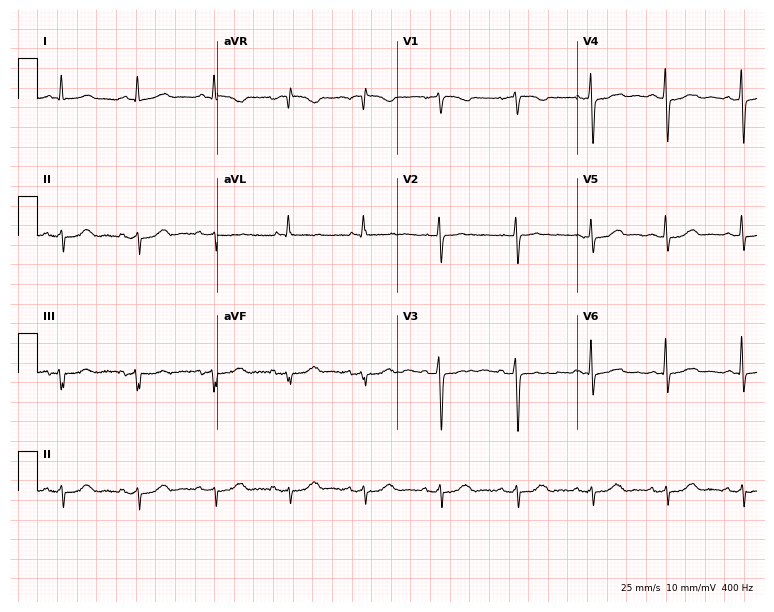
Electrocardiogram (7.3-second recording at 400 Hz), an 80-year-old female patient. Of the six screened findings (first-degree AV block, right bundle branch block, left bundle branch block, sinus bradycardia, atrial fibrillation, sinus tachycardia), none is recorded.